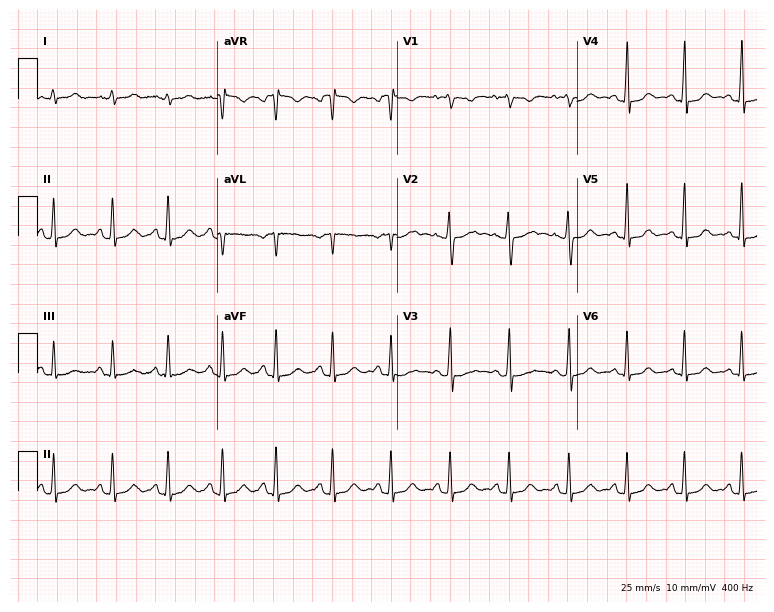
ECG (7.3-second recording at 400 Hz) — a woman, 23 years old. Findings include sinus tachycardia (a sinus rate of 100 beats per minute or more).